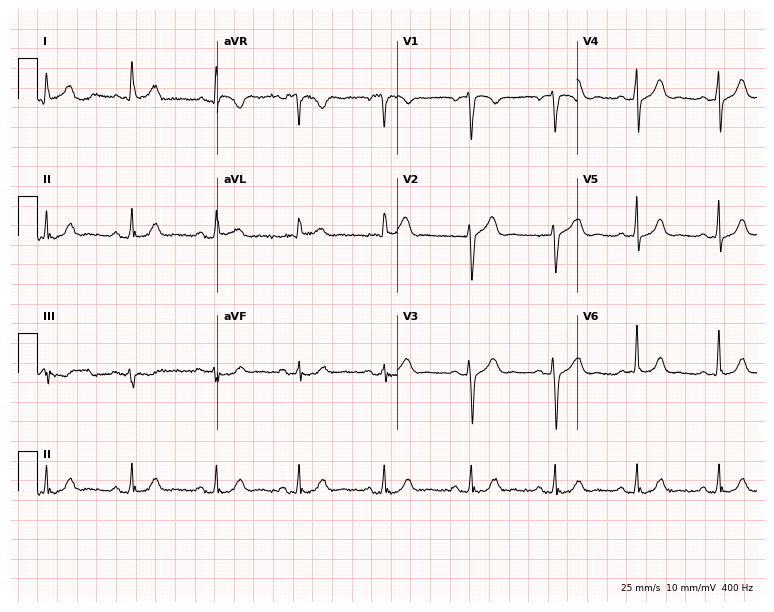
Resting 12-lead electrocardiogram. Patient: a 60-year-old man. Read as a normal ECG.